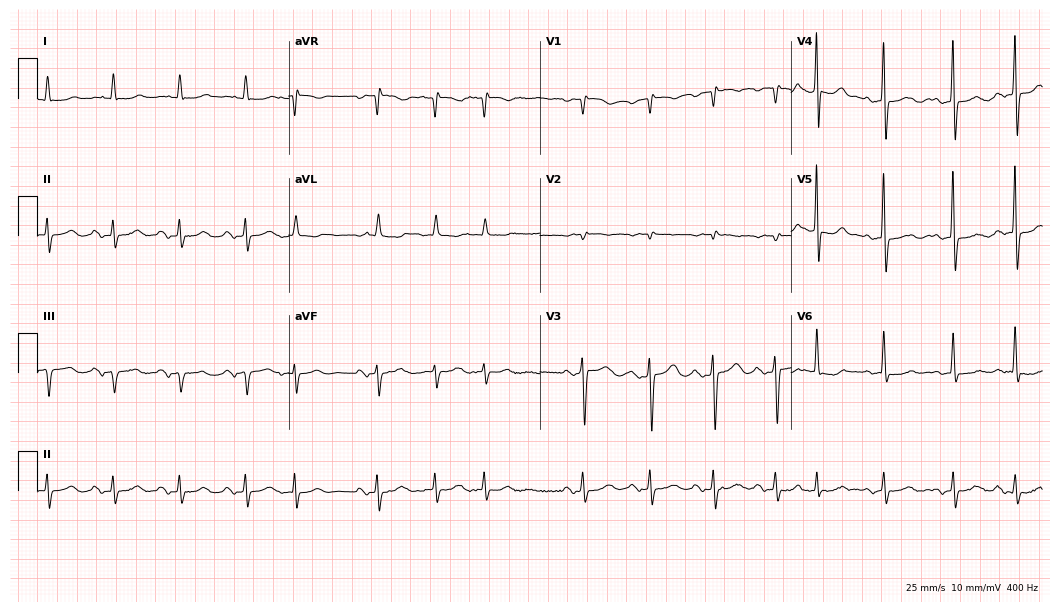
Resting 12-lead electrocardiogram (10.2-second recording at 400 Hz). Patient: an 82-year-old woman. None of these six findings is recorded: first-degree AV block, right bundle branch block (RBBB), left bundle branch block (LBBB), sinus bradycardia, atrial fibrillation (AF), sinus tachycardia. Only these six findings were labelled.